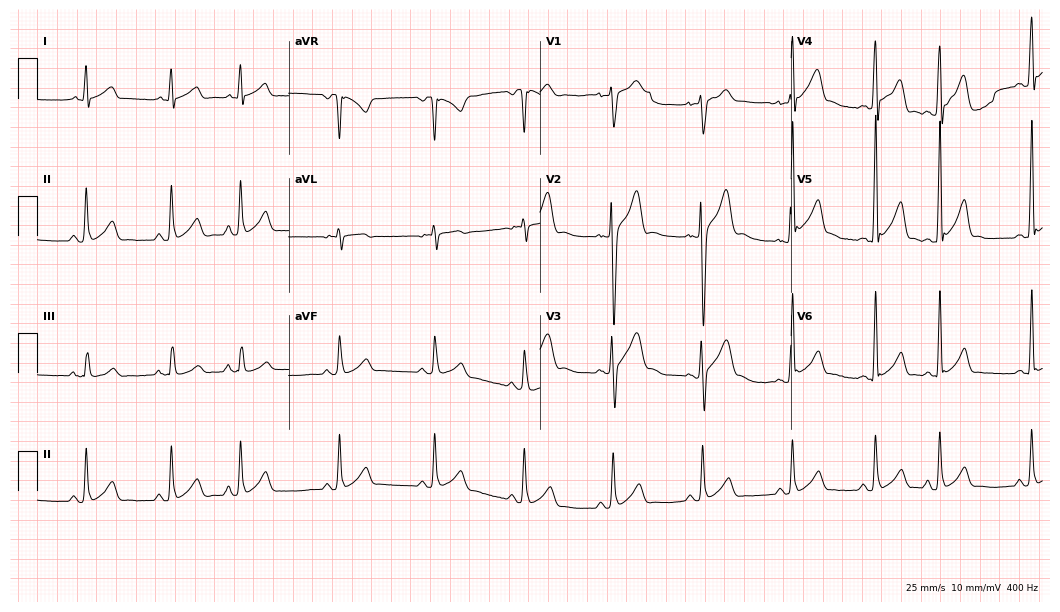
ECG (10.2-second recording at 400 Hz) — a male patient, 17 years old. Labelled as a normal ECG.